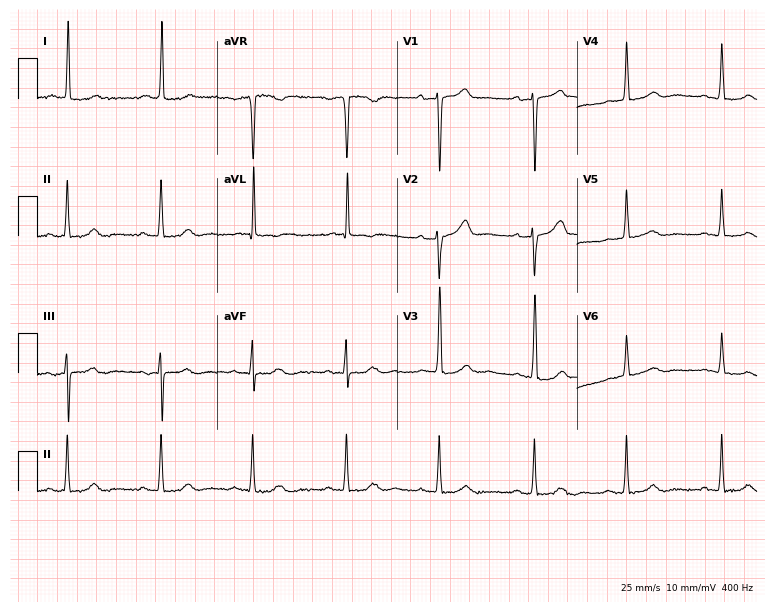
Resting 12-lead electrocardiogram. Patient: an 85-year-old female. None of these six findings is recorded: first-degree AV block, right bundle branch block, left bundle branch block, sinus bradycardia, atrial fibrillation, sinus tachycardia. Other findings, if any, are not listed.